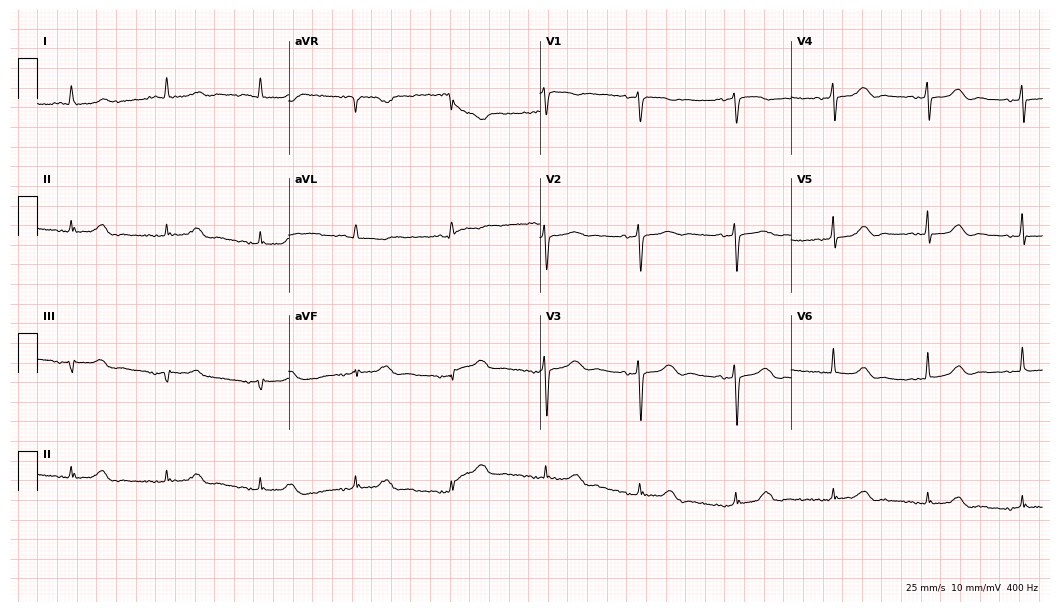
Resting 12-lead electrocardiogram (10.2-second recording at 400 Hz). Patient: a female, 78 years old. None of these six findings is recorded: first-degree AV block, right bundle branch block, left bundle branch block, sinus bradycardia, atrial fibrillation, sinus tachycardia.